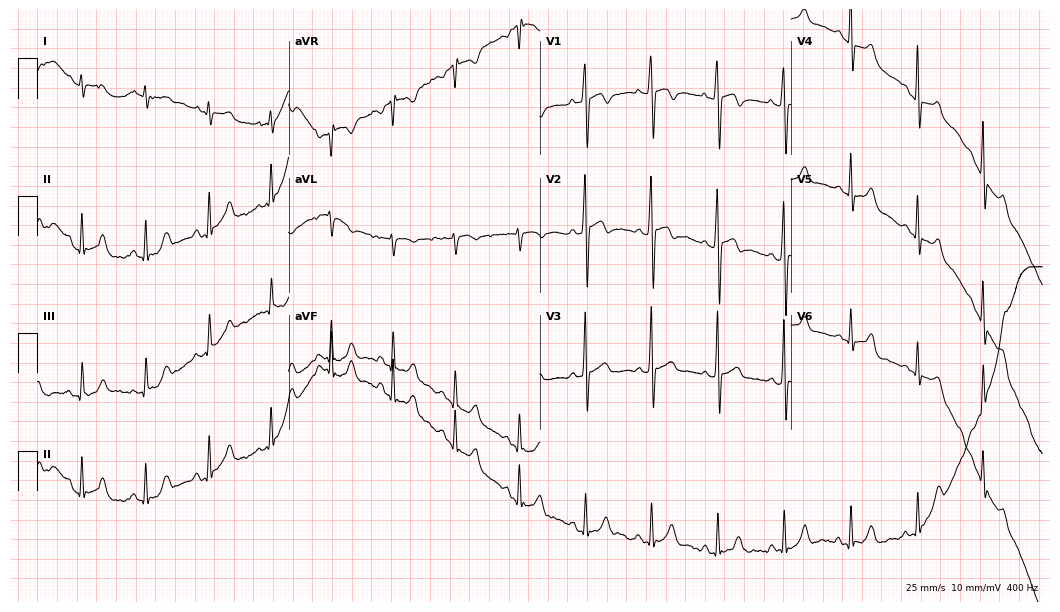
ECG — a male patient, 23 years old. Screened for six findings — first-degree AV block, right bundle branch block (RBBB), left bundle branch block (LBBB), sinus bradycardia, atrial fibrillation (AF), sinus tachycardia — none is recorded.